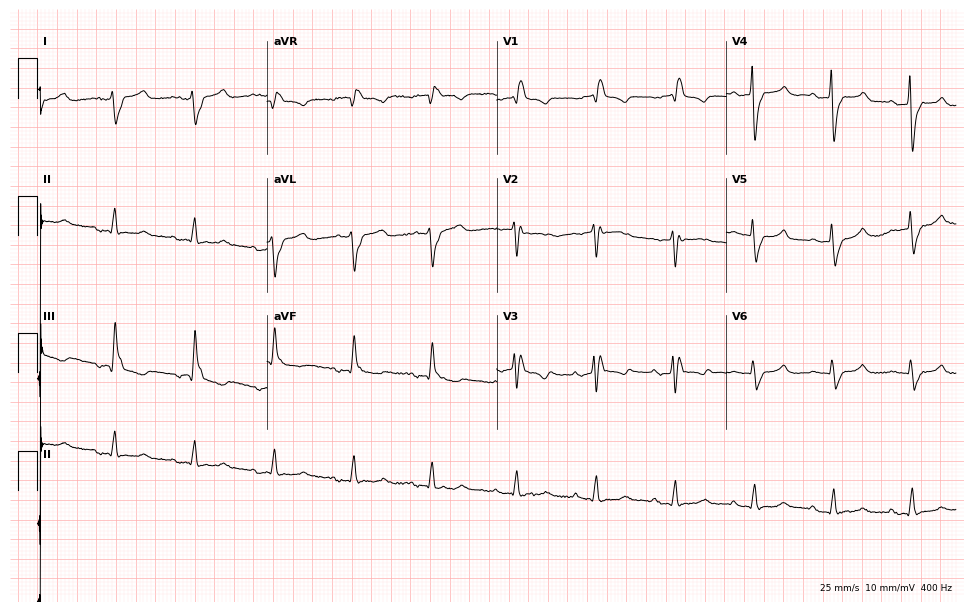
Electrocardiogram (9.4-second recording at 400 Hz), a 66-year-old male. Interpretation includes right bundle branch block (RBBB).